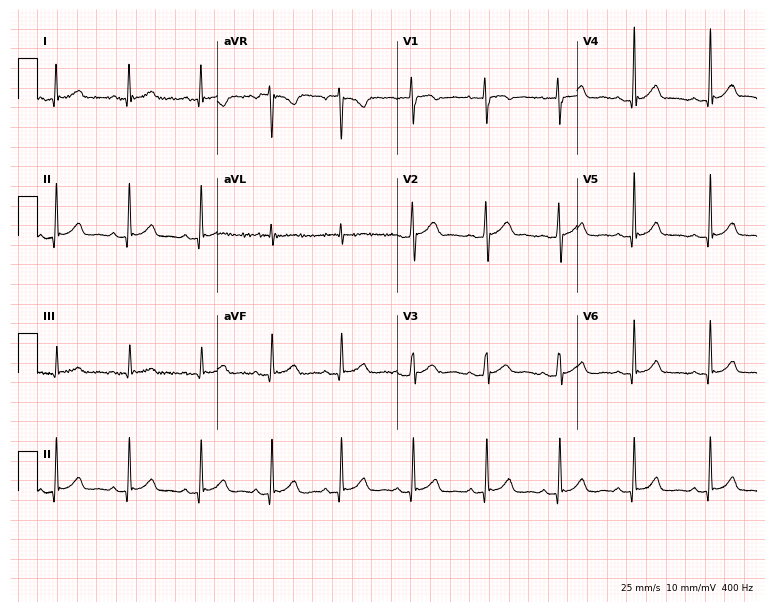
Standard 12-lead ECG recorded from a male, 55 years old. Read as a normal ECG.